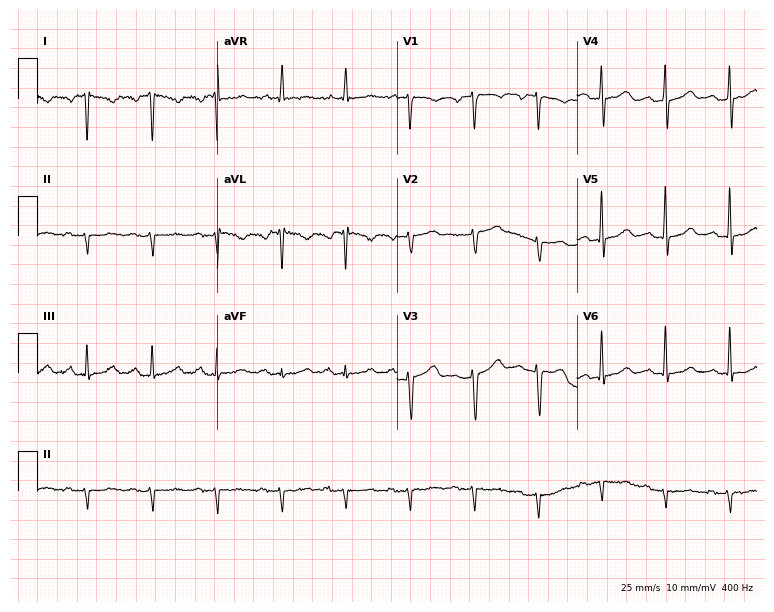
12-lead ECG from a 51-year-old female. No first-degree AV block, right bundle branch block (RBBB), left bundle branch block (LBBB), sinus bradycardia, atrial fibrillation (AF) or sinus tachycardia recorded for this tracing. Findings outside these six are not listed.